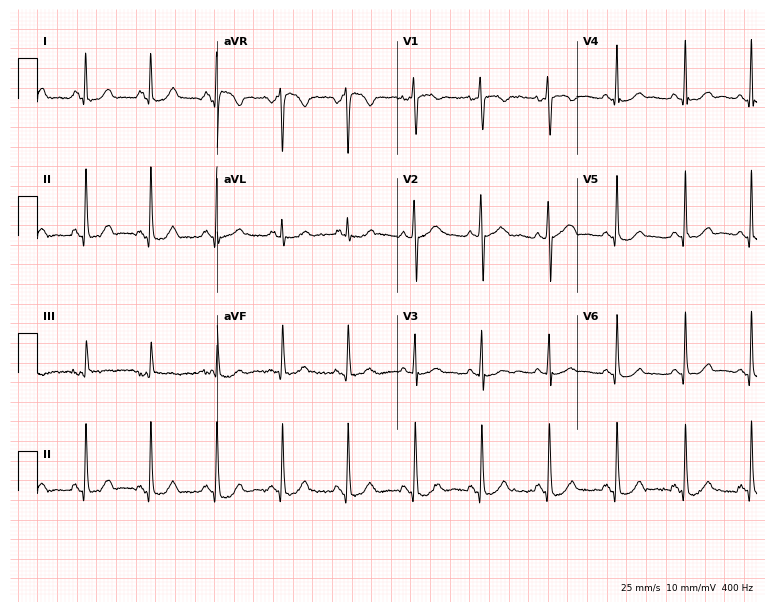
Electrocardiogram, a woman, 31 years old. Overall reading on record: normal ECG.